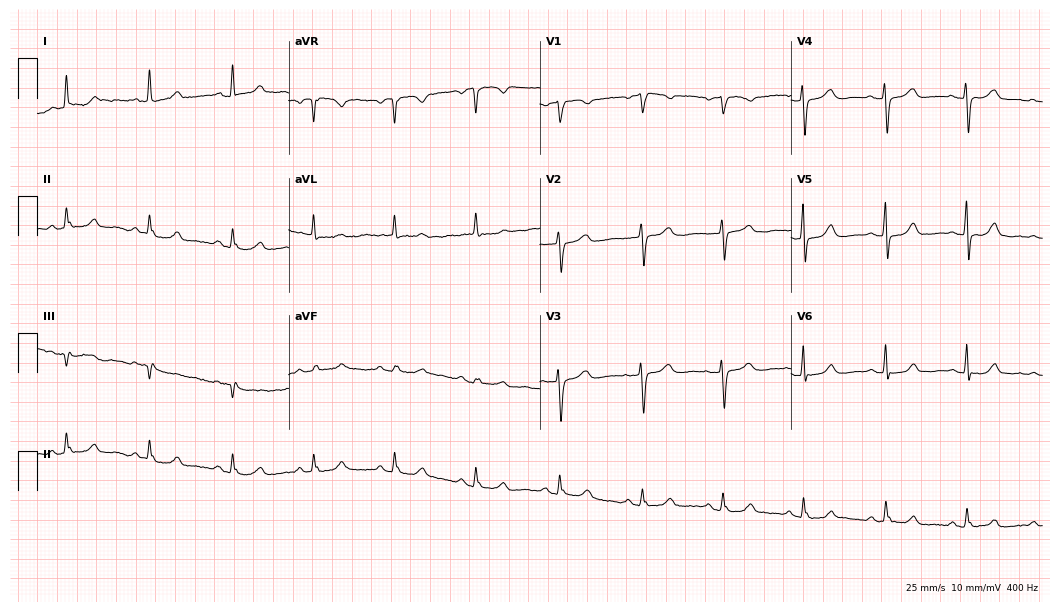
12-lead ECG from a woman, 83 years old (10.2-second recording at 400 Hz). No first-degree AV block, right bundle branch block, left bundle branch block, sinus bradycardia, atrial fibrillation or sinus tachycardia recorded for this tracing.